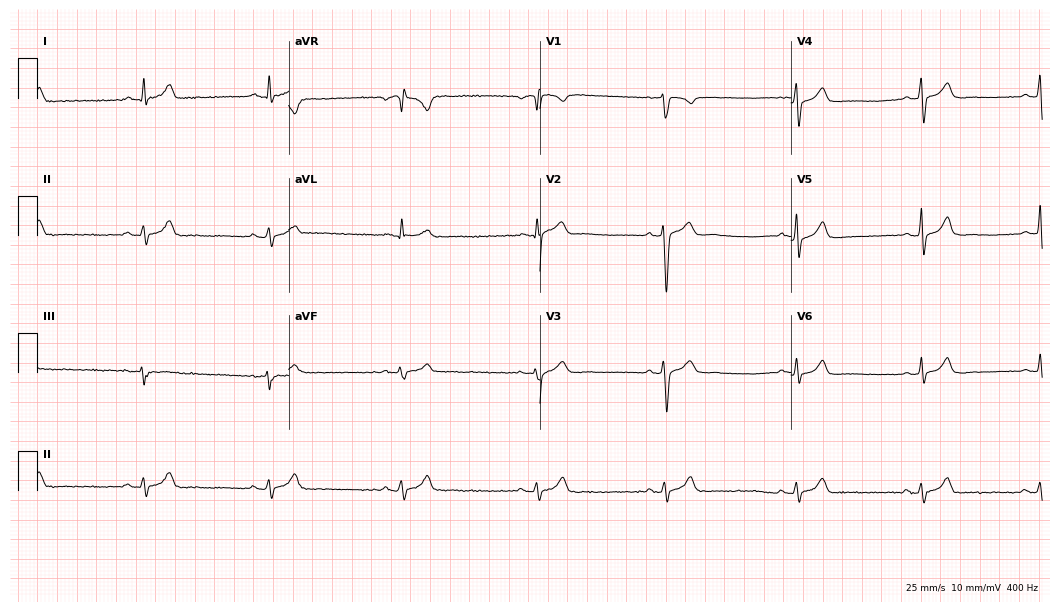
Resting 12-lead electrocardiogram (10.2-second recording at 400 Hz). Patient: a male, 41 years old. Read as a normal ECG.